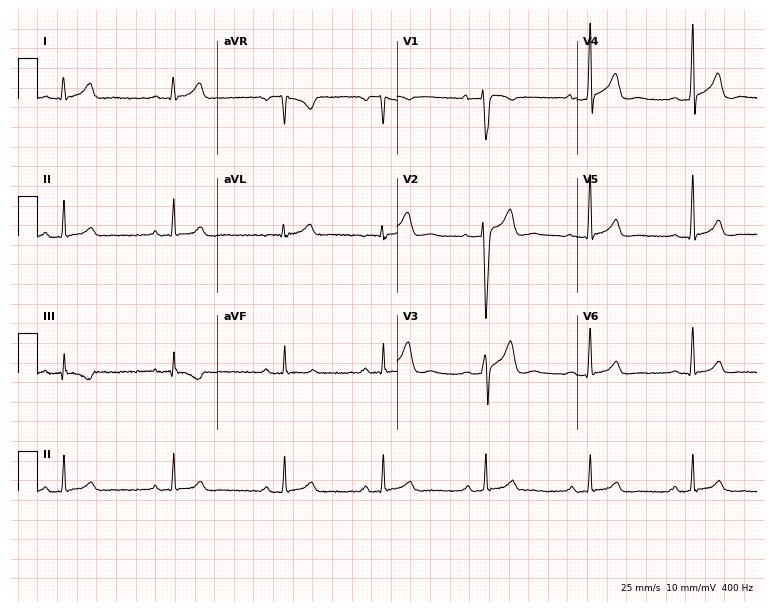
12-lead ECG from a man, 36 years old. Labelled as a normal ECG.